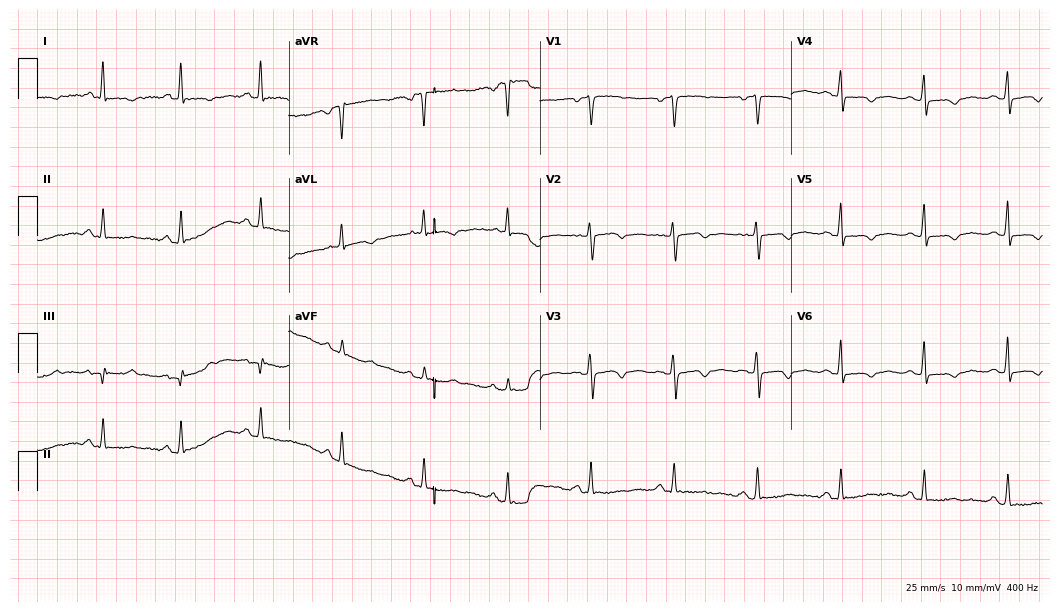
Electrocardiogram, a female patient, 64 years old. Of the six screened findings (first-degree AV block, right bundle branch block, left bundle branch block, sinus bradycardia, atrial fibrillation, sinus tachycardia), none is recorded.